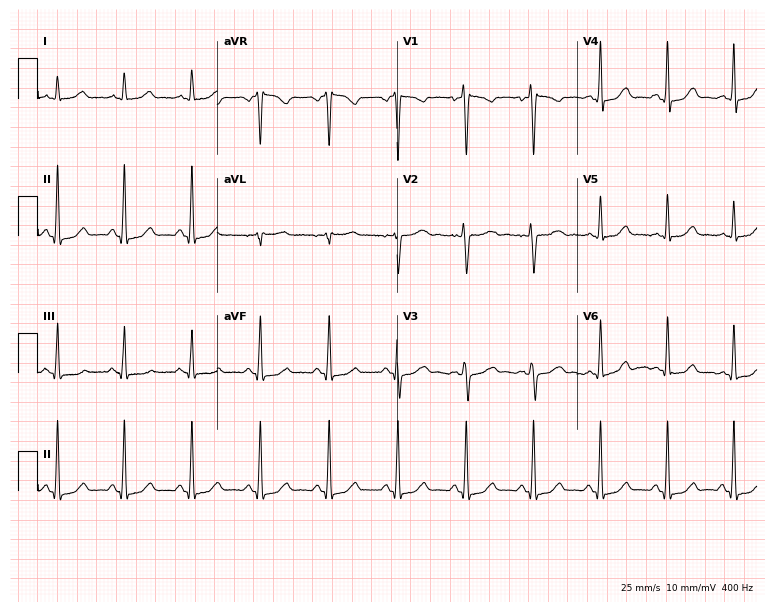
Resting 12-lead electrocardiogram. Patient: a female, 36 years old. Read as a normal ECG.